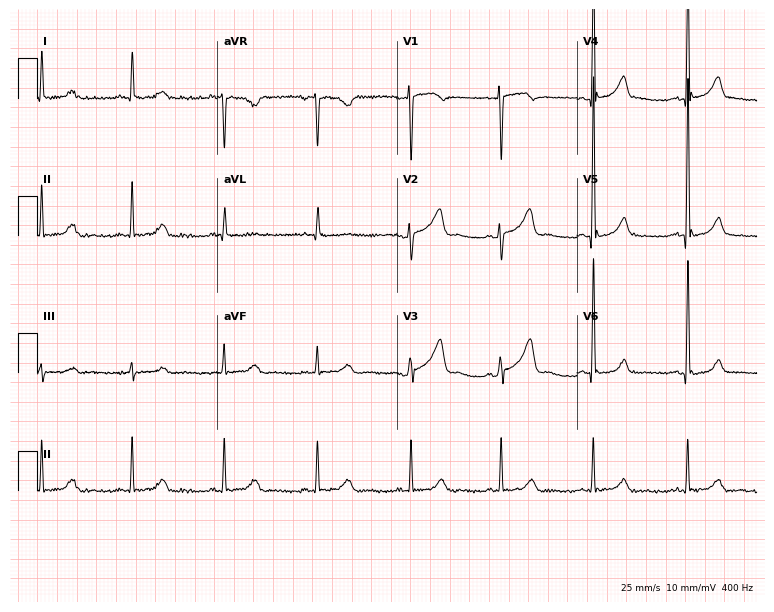
ECG (7.3-second recording at 400 Hz) — a woman, 55 years old. Screened for six findings — first-degree AV block, right bundle branch block (RBBB), left bundle branch block (LBBB), sinus bradycardia, atrial fibrillation (AF), sinus tachycardia — none is recorded.